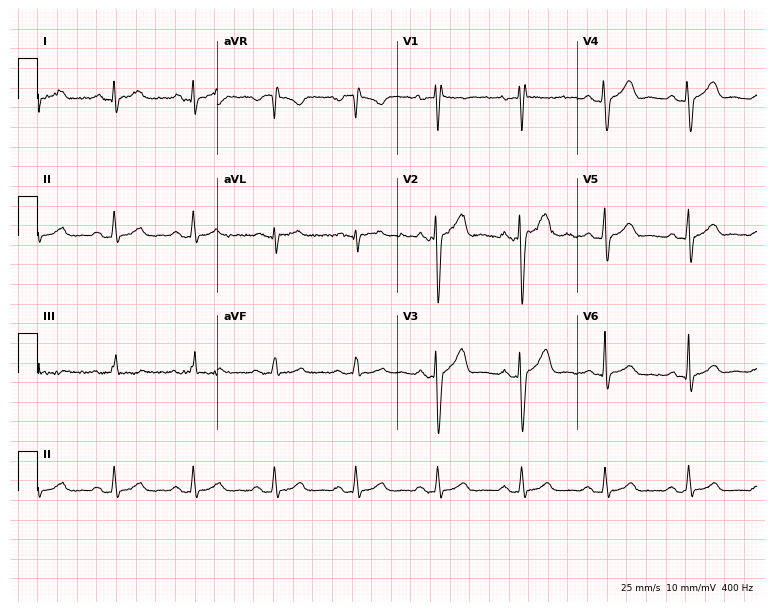
12-lead ECG from a man, 34 years old (7.3-second recording at 400 Hz). Recorded interpretation: within normal limits.